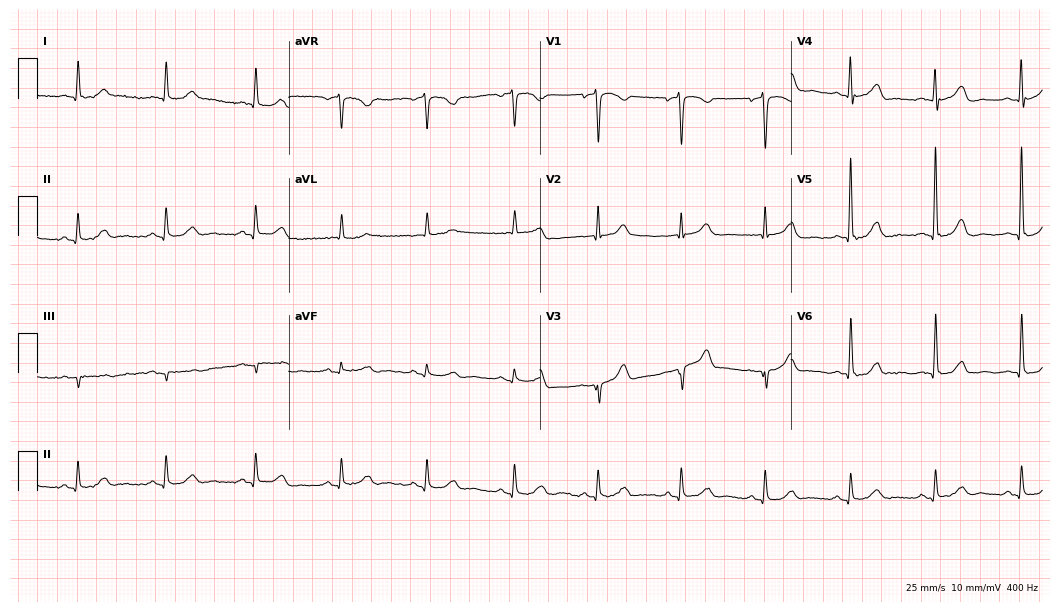
Electrocardiogram, a male patient, 76 years old. Of the six screened findings (first-degree AV block, right bundle branch block (RBBB), left bundle branch block (LBBB), sinus bradycardia, atrial fibrillation (AF), sinus tachycardia), none is recorded. Other findings, if any, are not listed.